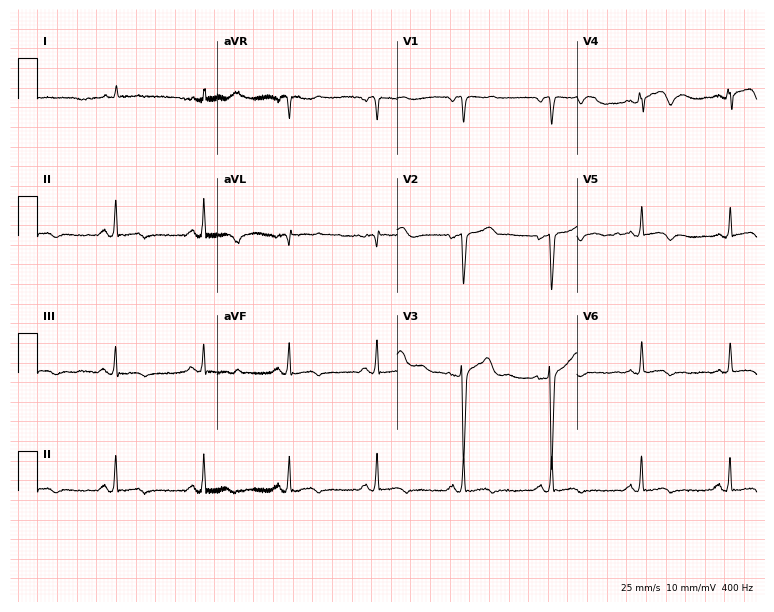
Resting 12-lead electrocardiogram. Patient: a 56-year-old male. None of these six findings is recorded: first-degree AV block, right bundle branch block, left bundle branch block, sinus bradycardia, atrial fibrillation, sinus tachycardia. Only these six findings were labelled.